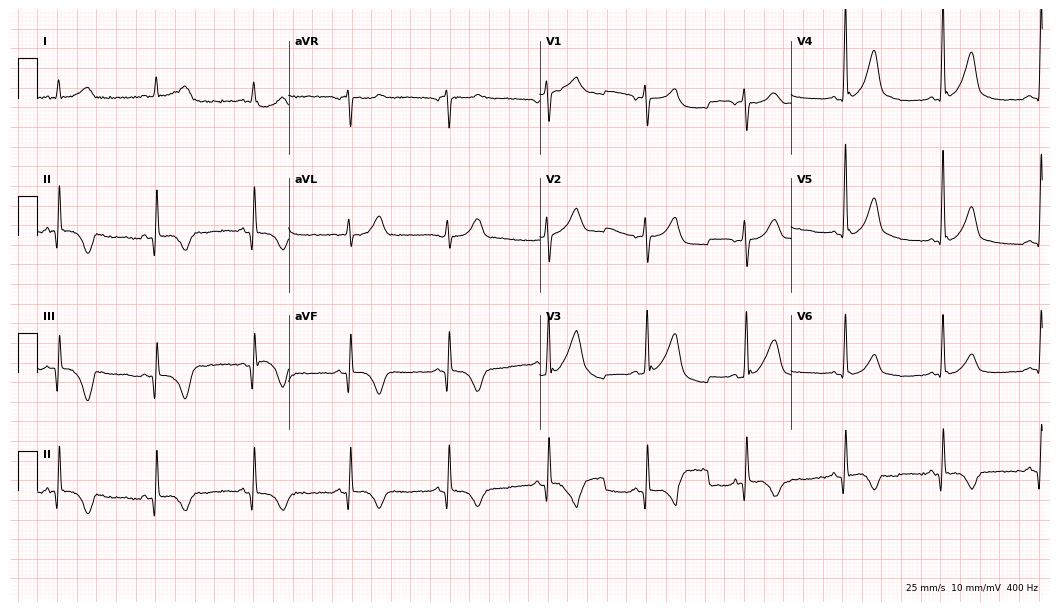
Standard 12-lead ECG recorded from a male patient, 53 years old. None of these six findings is recorded: first-degree AV block, right bundle branch block, left bundle branch block, sinus bradycardia, atrial fibrillation, sinus tachycardia. Findings outside these six are not listed.